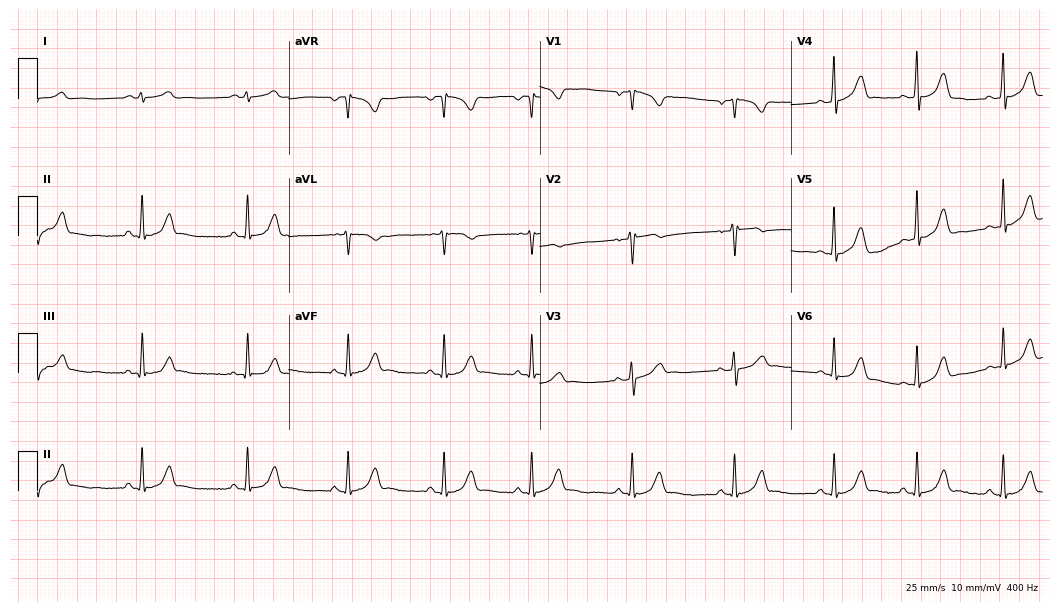
12-lead ECG (10.2-second recording at 400 Hz) from a female, 19 years old. Labelled as a normal ECG.